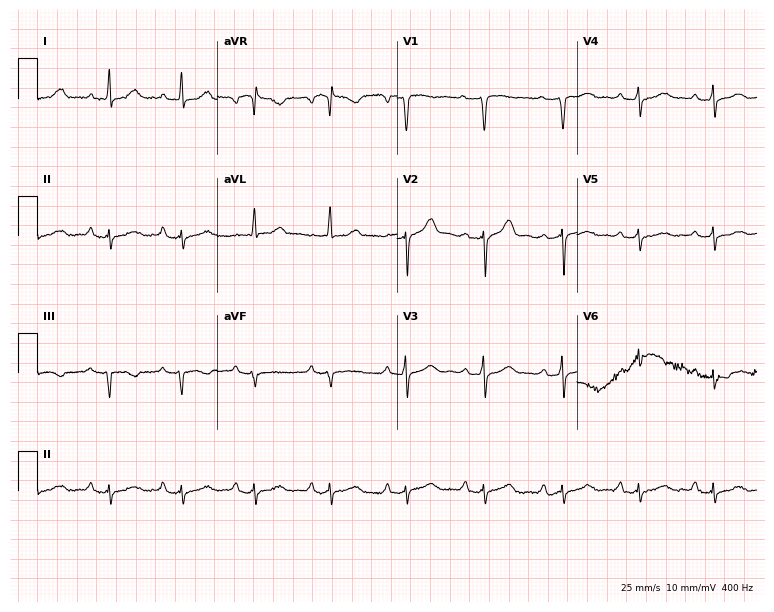
Electrocardiogram (7.3-second recording at 400 Hz), a woman, 61 years old. Of the six screened findings (first-degree AV block, right bundle branch block, left bundle branch block, sinus bradycardia, atrial fibrillation, sinus tachycardia), none is recorded. Findings outside these six are not listed.